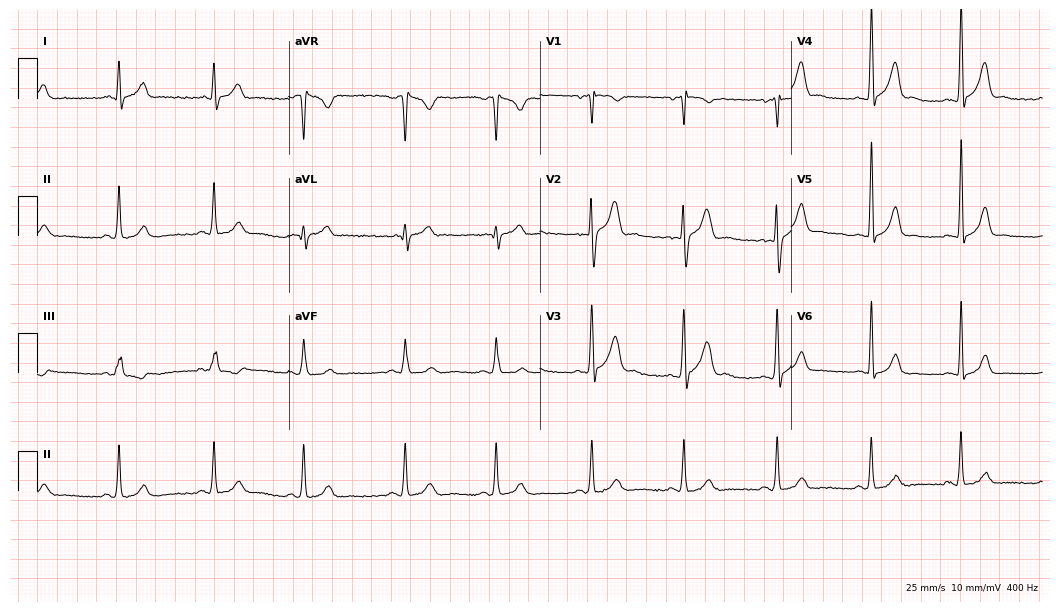
Resting 12-lead electrocardiogram (10.2-second recording at 400 Hz). Patient: a man, 21 years old. Read as a normal ECG.